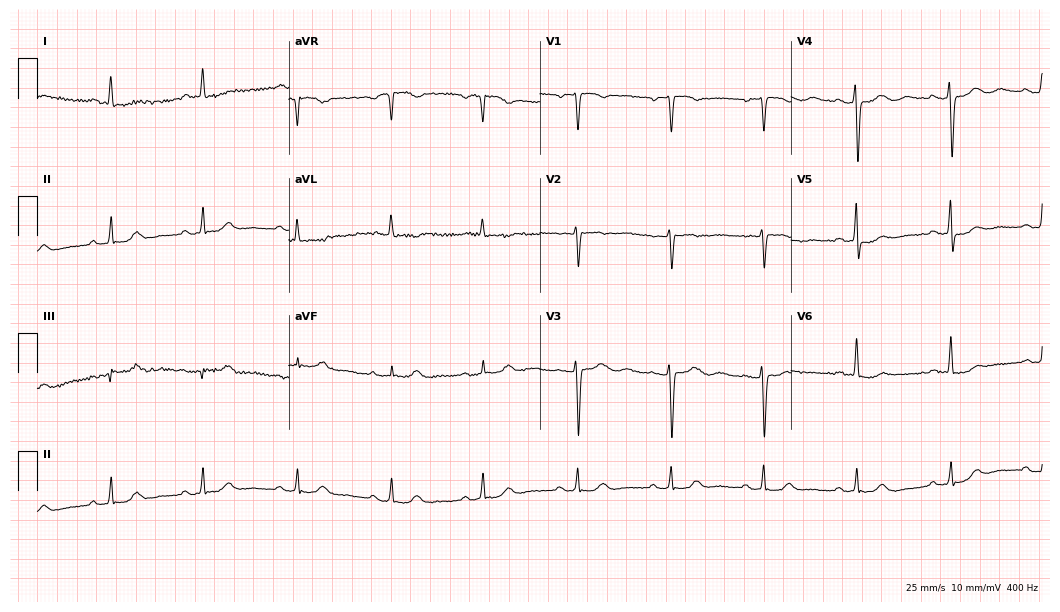
Resting 12-lead electrocardiogram. Patient: a 71-year-old female. Read as a normal ECG.